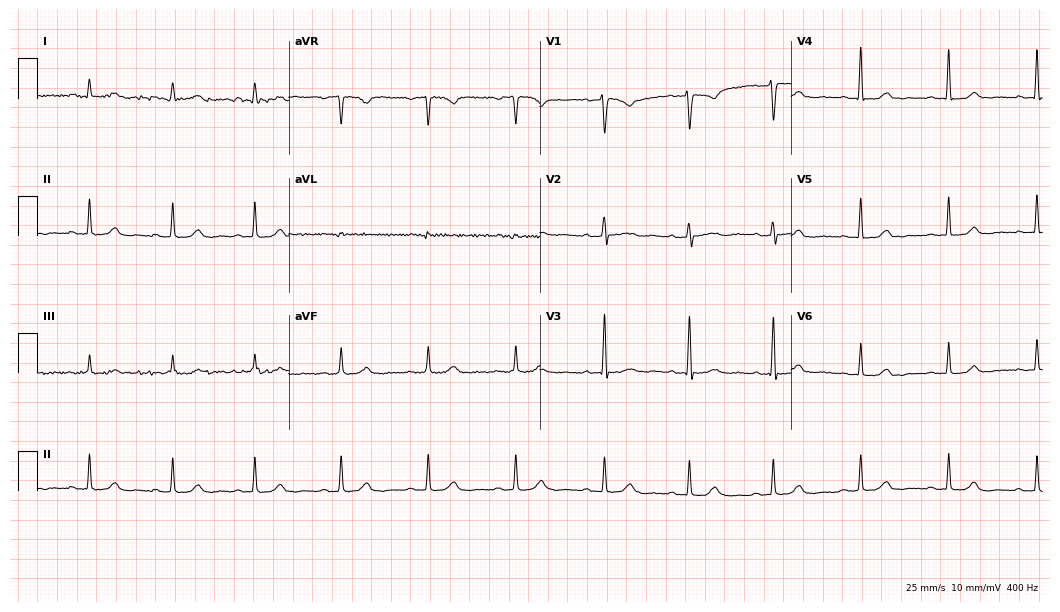
Standard 12-lead ECG recorded from a woman, 49 years old. None of these six findings is recorded: first-degree AV block, right bundle branch block, left bundle branch block, sinus bradycardia, atrial fibrillation, sinus tachycardia.